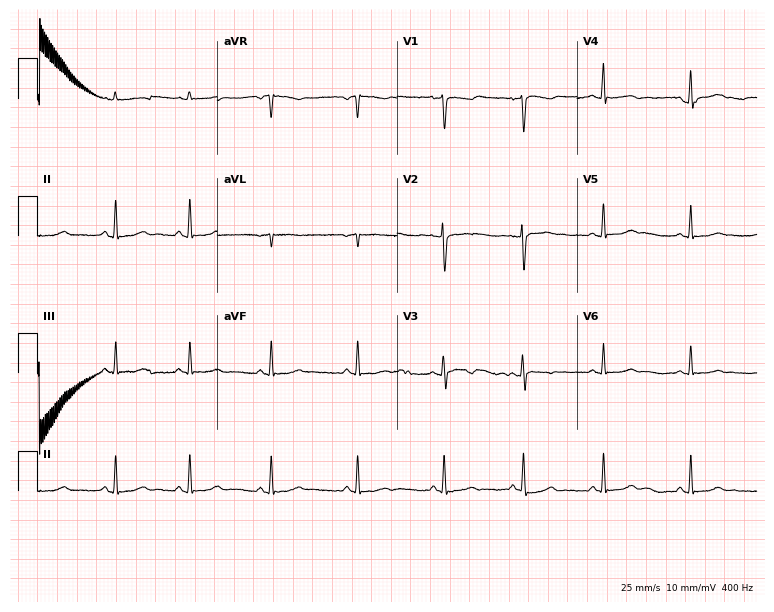
Resting 12-lead electrocardiogram. Patient: a 31-year-old female. None of these six findings is recorded: first-degree AV block, right bundle branch block, left bundle branch block, sinus bradycardia, atrial fibrillation, sinus tachycardia.